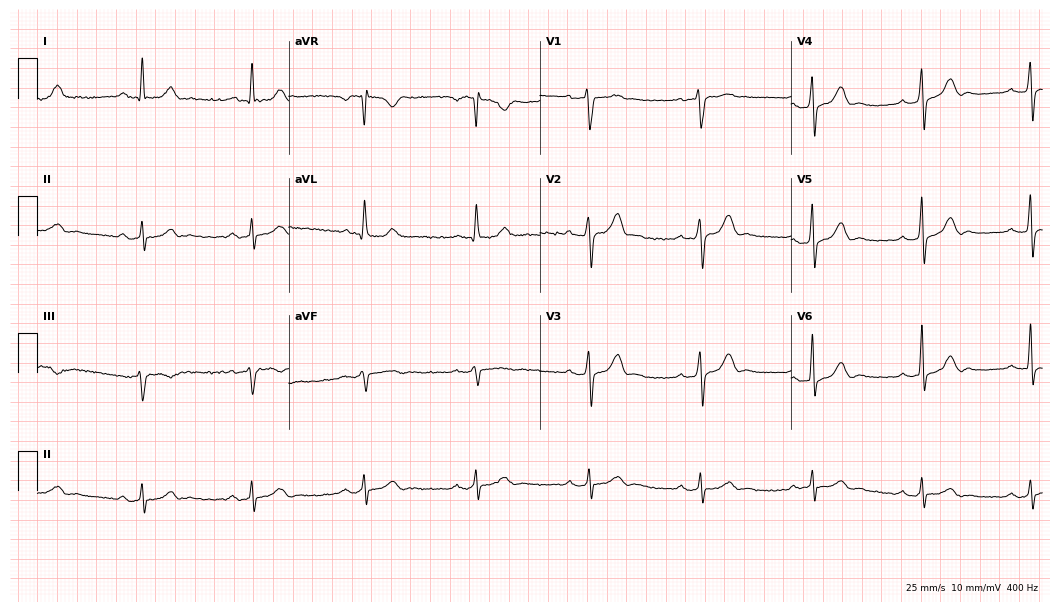
ECG — a 57-year-old male patient. Labelled as a normal ECG.